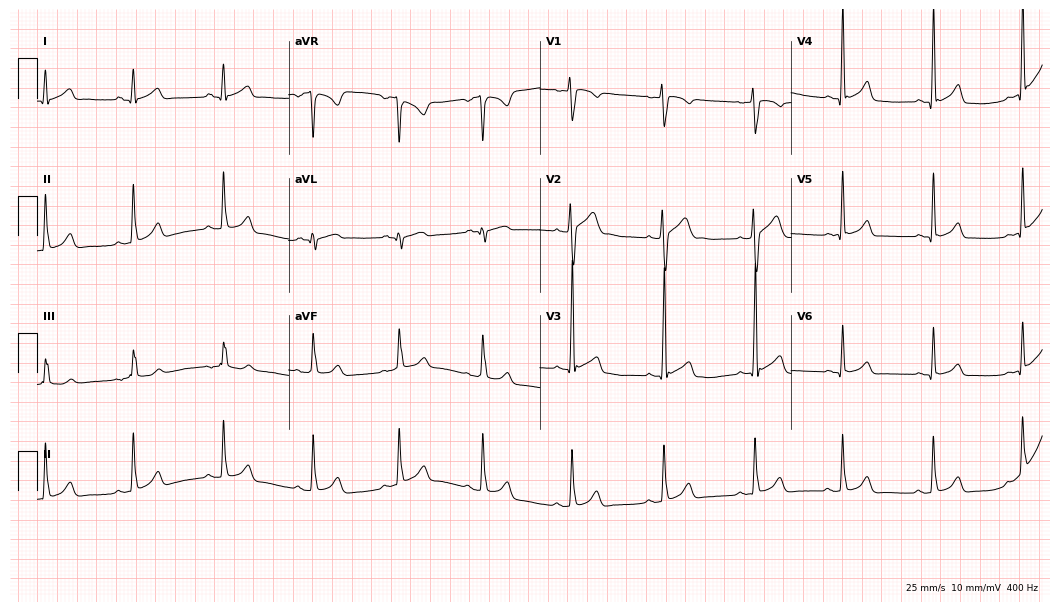
Resting 12-lead electrocardiogram. Patient: a male, 20 years old. Read as a normal ECG.